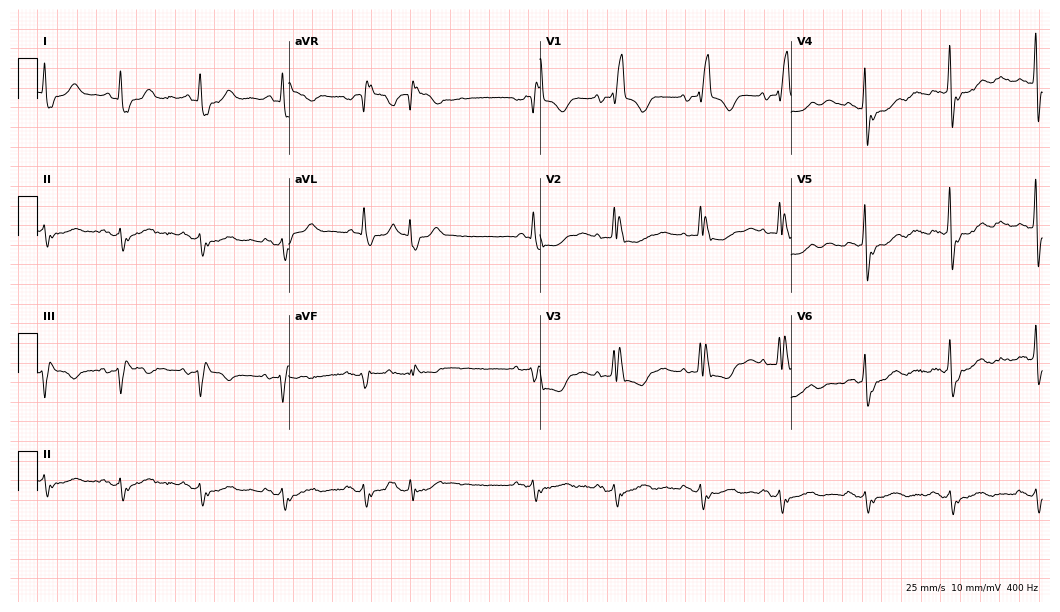
Resting 12-lead electrocardiogram (10.2-second recording at 400 Hz). Patient: an 84-year-old male. The tracing shows right bundle branch block.